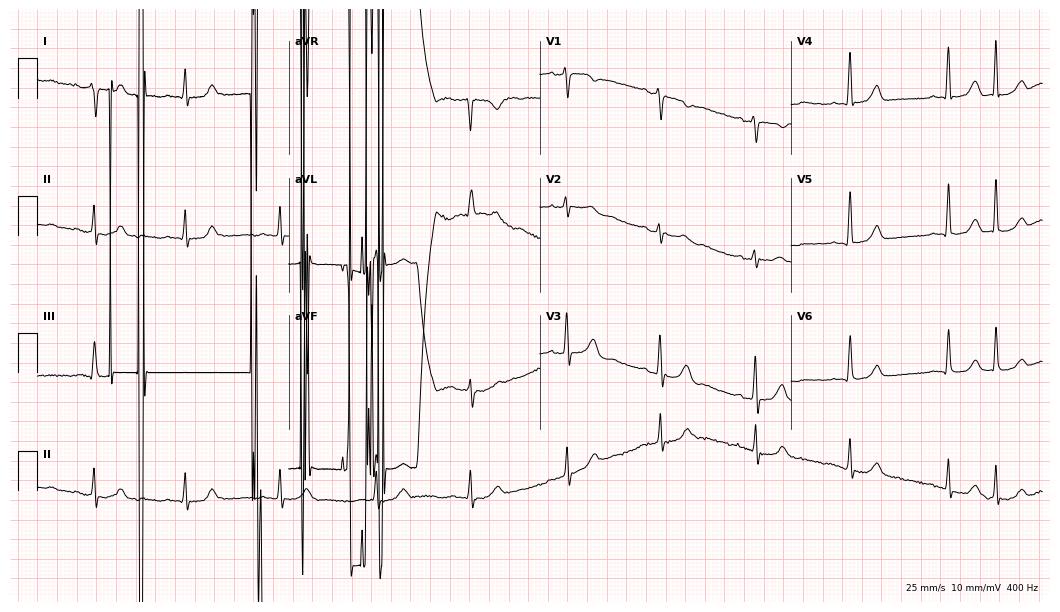
12-lead ECG (10.2-second recording at 400 Hz) from a 76-year-old female. Screened for six findings — first-degree AV block, right bundle branch block, left bundle branch block, sinus bradycardia, atrial fibrillation, sinus tachycardia — none is recorded.